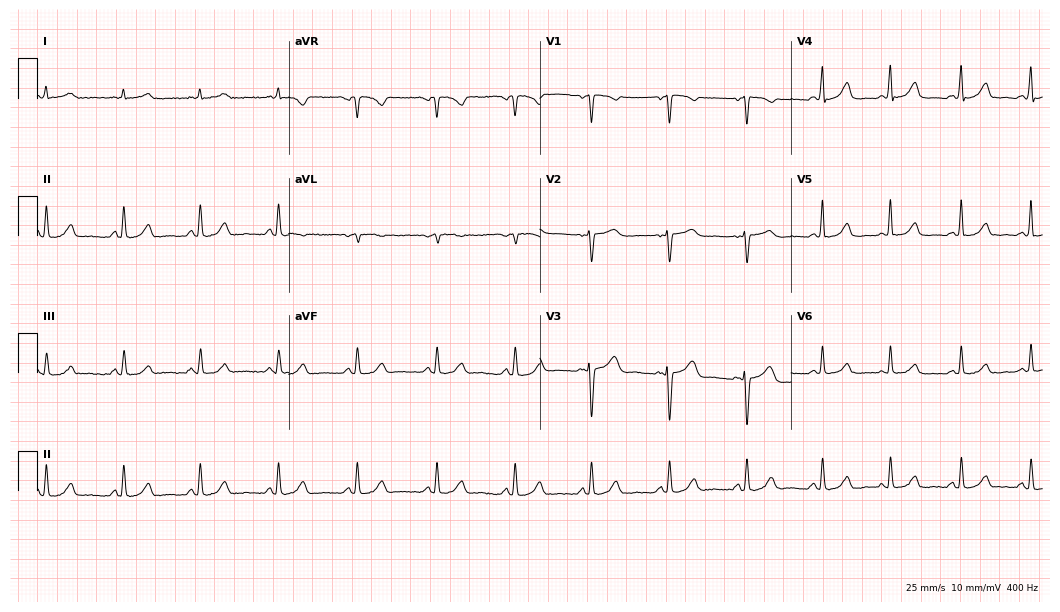
Standard 12-lead ECG recorded from a female, 53 years old (10.2-second recording at 400 Hz). Read as a normal ECG.